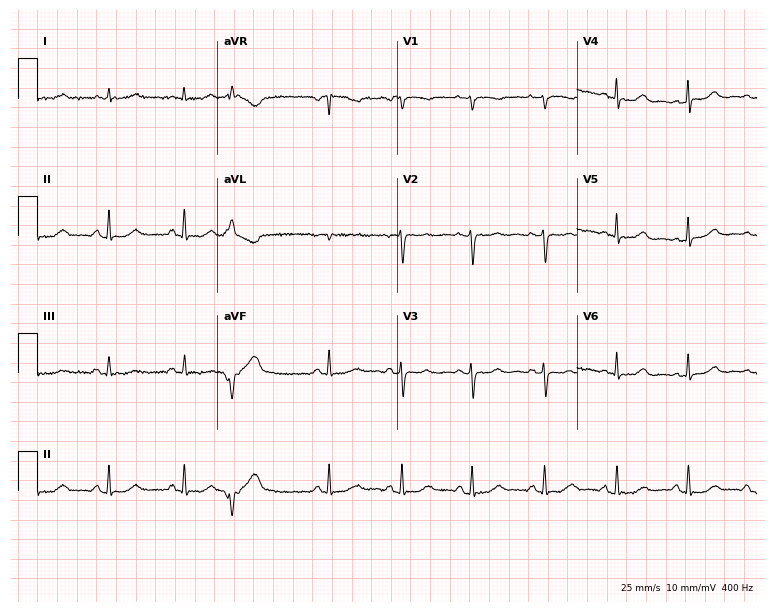
12-lead ECG from an 85-year-old female patient. Recorded interpretation: within normal limits.